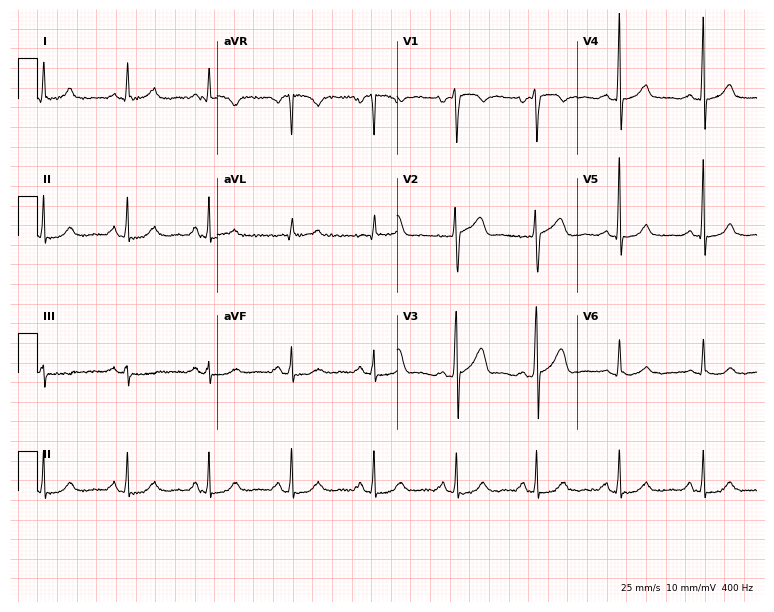
12-lead ECG from a 38-year-old male patient. Recorded interpretation: within normal limits.